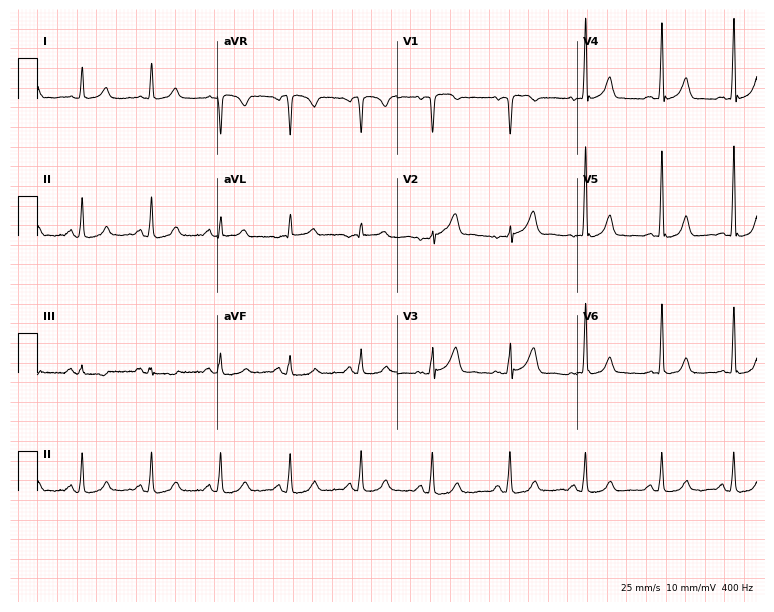
Electrocardiogram, a 53-year-old woman. Overall reading on record: normal ECG.